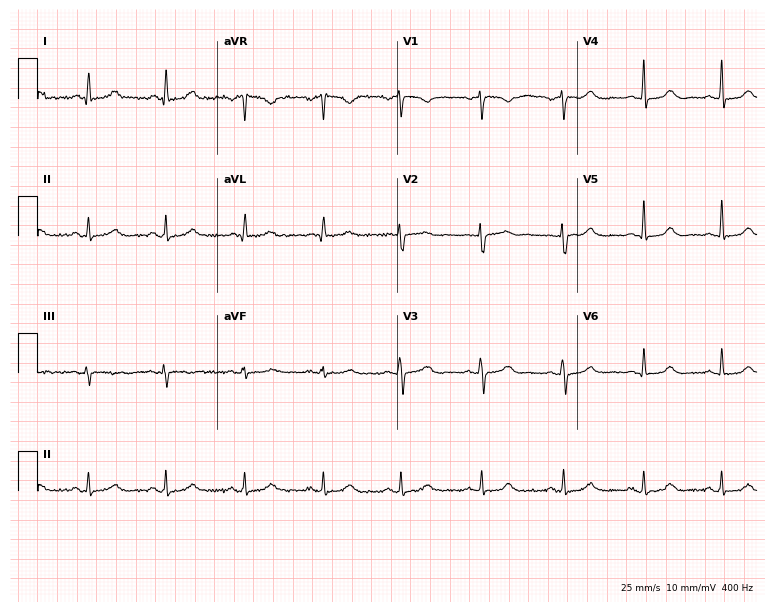
12-lead ECG from a 52-year-old female patient (7.3-second recording at 400 Hz). No first-degree AV block, right bundle branch block, left bundle branch block, sinus bradycardia, atrial fibrillation or sinus tachycardia recorded for this tracing.